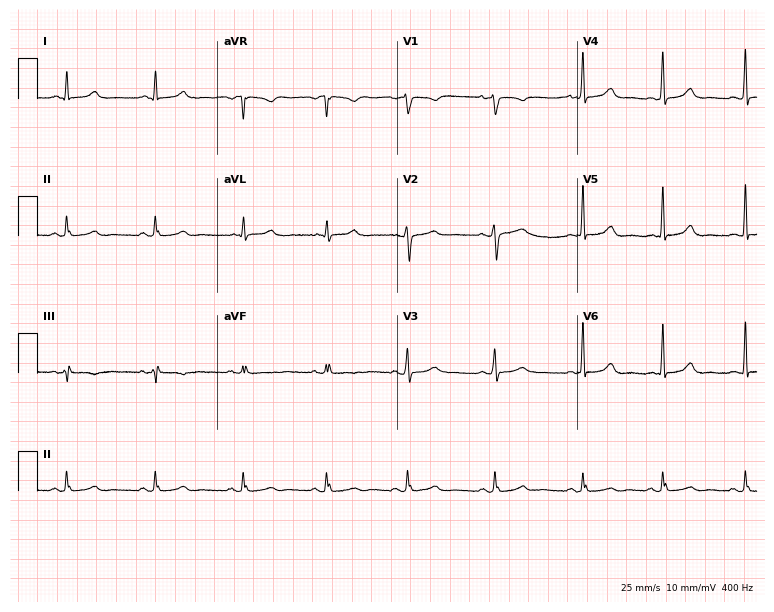
Electrocardiogram, a 23-year-old woman. Of the six screened findings (first-degree AV block, right bundle branch block, left bundle branch block, sinus bradycardia, atrial fibrillation, sinus tachycardia), none is recorded. Only these six findings were labelled.